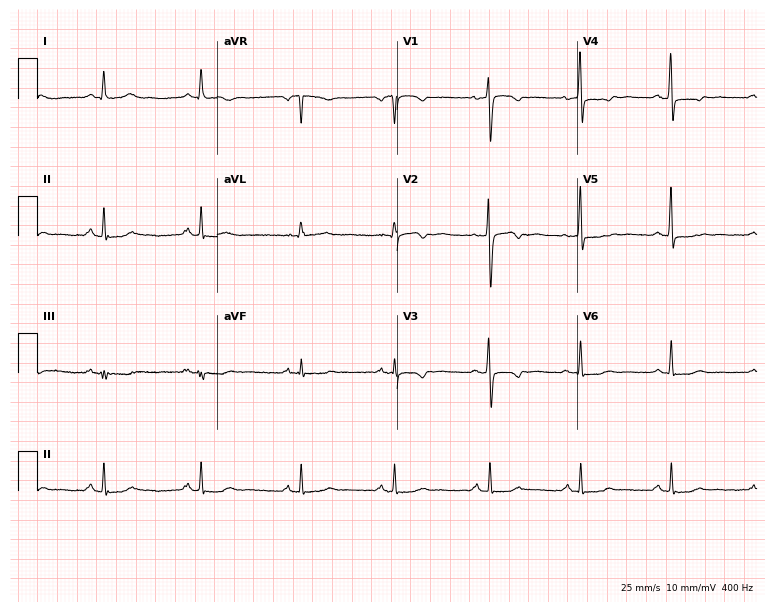
Electrocardiogram, a 52-year-old woman. Of the six screened findings (first-degree AV block, right bundle branch block (RBBB), left bundle branch block (LBBB), sinus bradycardia, atrial fibrillation (AF), sinus tachycardia), none is recorded. Only these six findings were labelled.